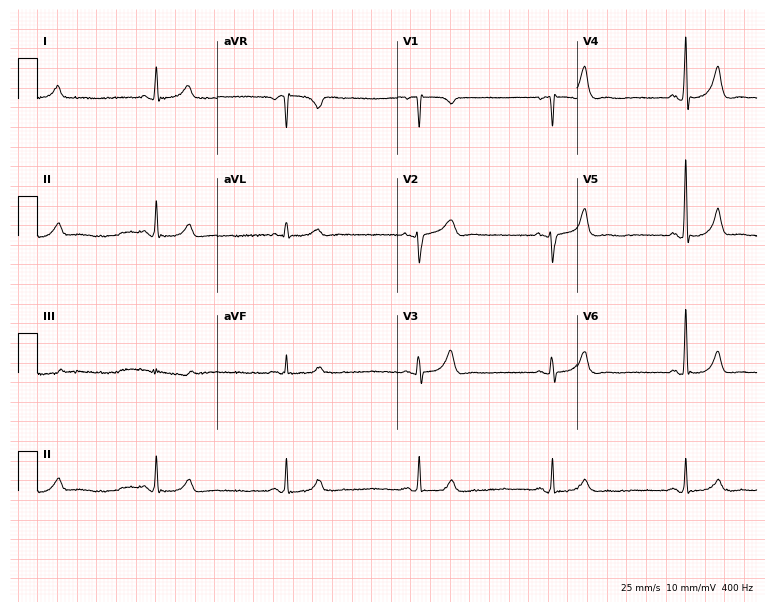
Resting 12-lead electrocardiogram (7.3-second recording at 400 Hz). Patient: a 70-year-old man. The tracing shows sinus bradycardia (a sinus rate of 50 beats per minute or less).